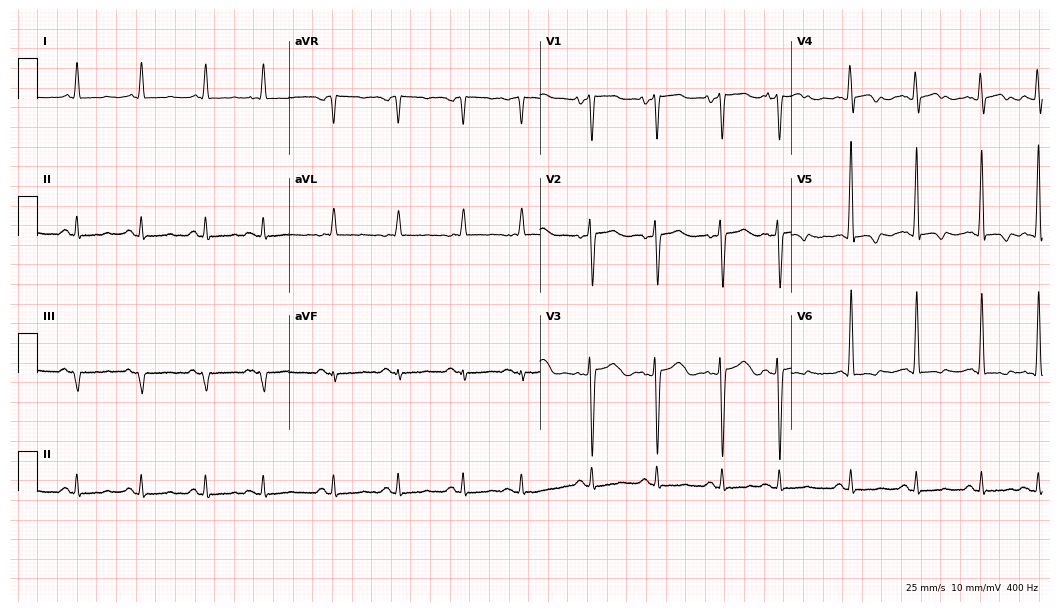
Resting 12-lead electrocardiogram (10.2-second recording at 400 Hz). Patient: a male, 62 years old. None of these six findings is recorded: first-degree AV block, right bundle branch block (RBBB), left bundle branch block (LBBB), sinus bradycardia, atrial fibrillation (AF), sinus tachycardia.